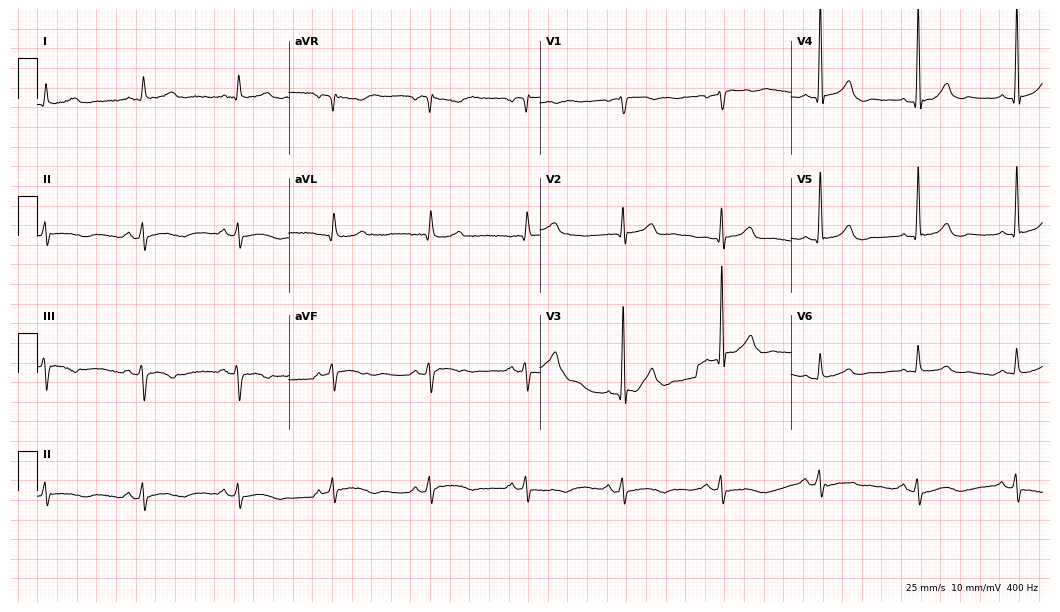
Resting 12-lead electrocardiogram. Patient: a male, 63 years old. Read as a normal ECG.